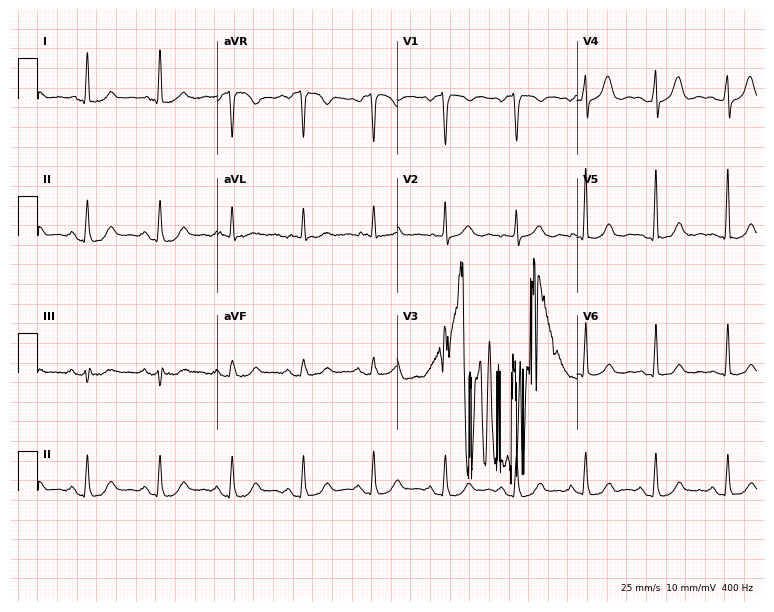
12-lead ECG from a man, 42 years old. Labelled as a normal ECG.